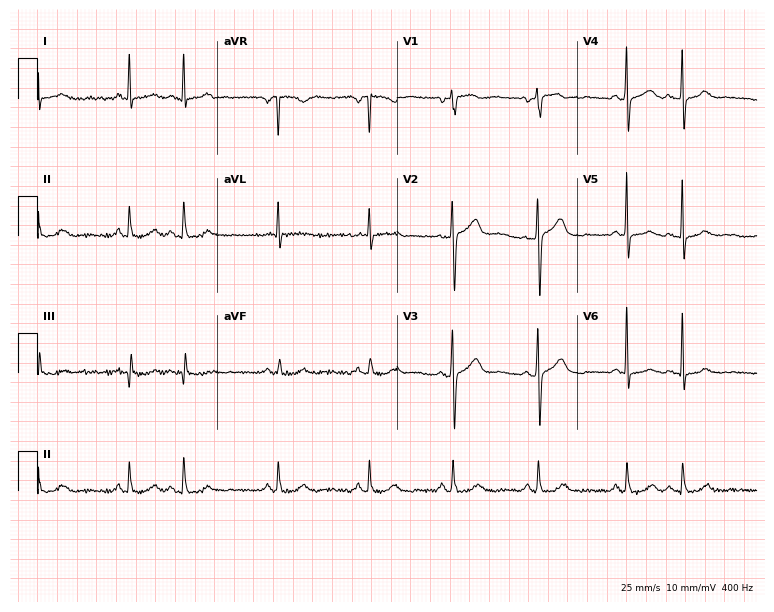
12-lead ECG from a male patient, 63 years old. No first-degree AV block, right bundle branch block, left bundle branch block, sinus bradycardia, atrial fibrillation or sinus tachycardia recorded for this tracing. Other findings, if any, are not listed.